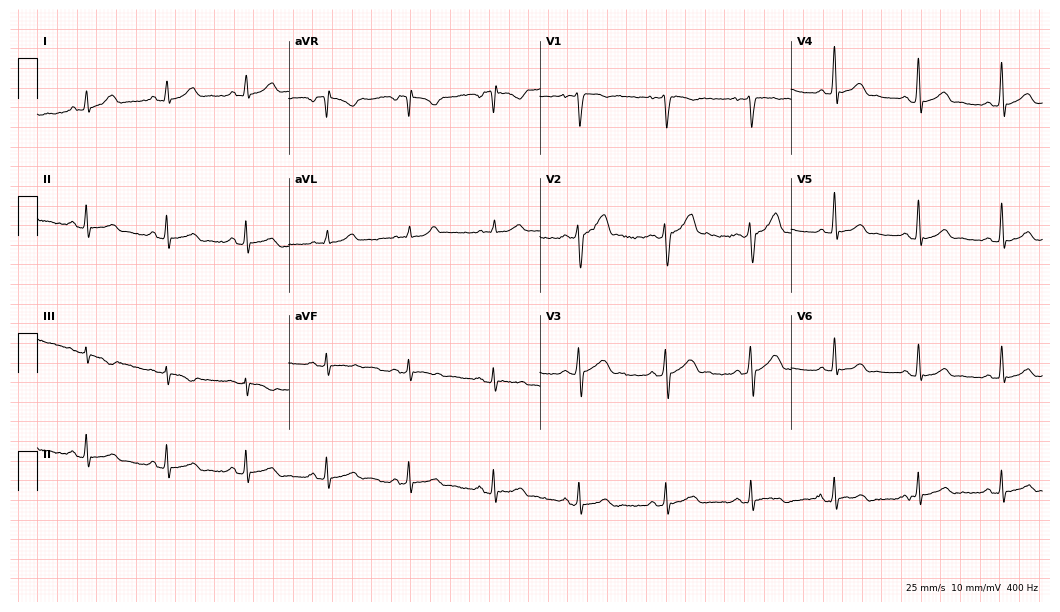
12-lead ECG from a 29-year-old male patient (10.2-second recording at 400 Hz). Recorded interpretation: within normal limits.